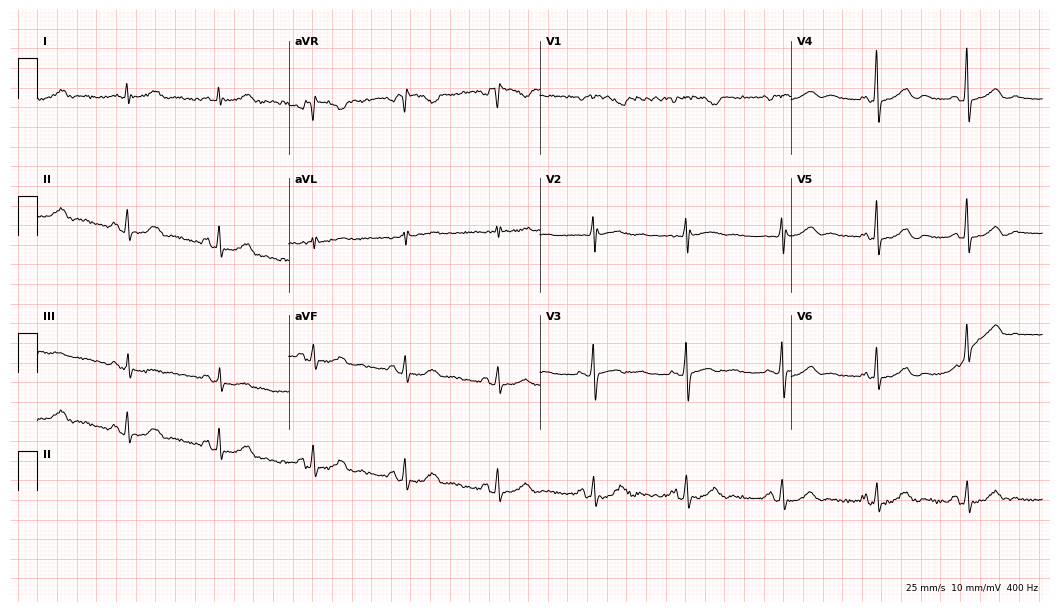
12-lead ECG from a female patient, 58 years old. Screened for six findings — first-degree AV block, right bundle branch block, left bundle branch block, sinus bradycardia, atrial fibrillation, sinus tachycardia — none is recorded.